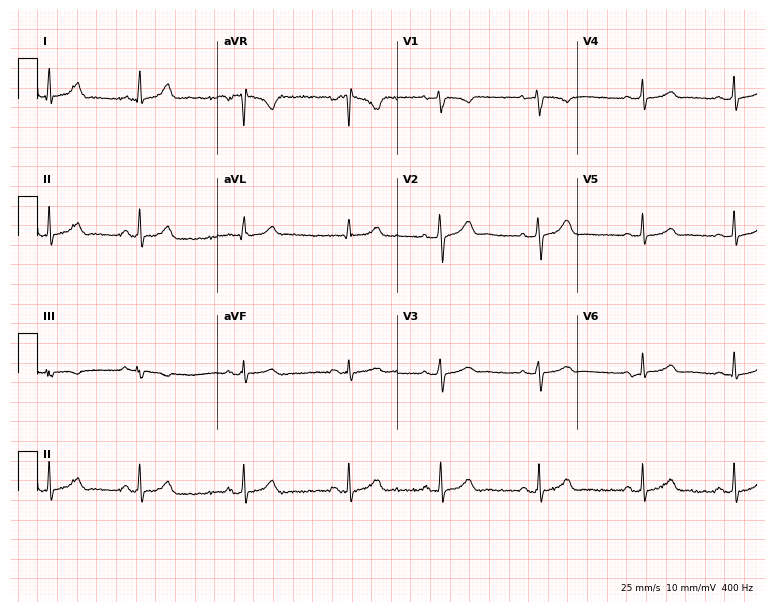
Resting 12-lead electrocardiogram (7.3-second recording at 400 Hz). Patient: a 46-year-old woman. Read as a normal ECG.